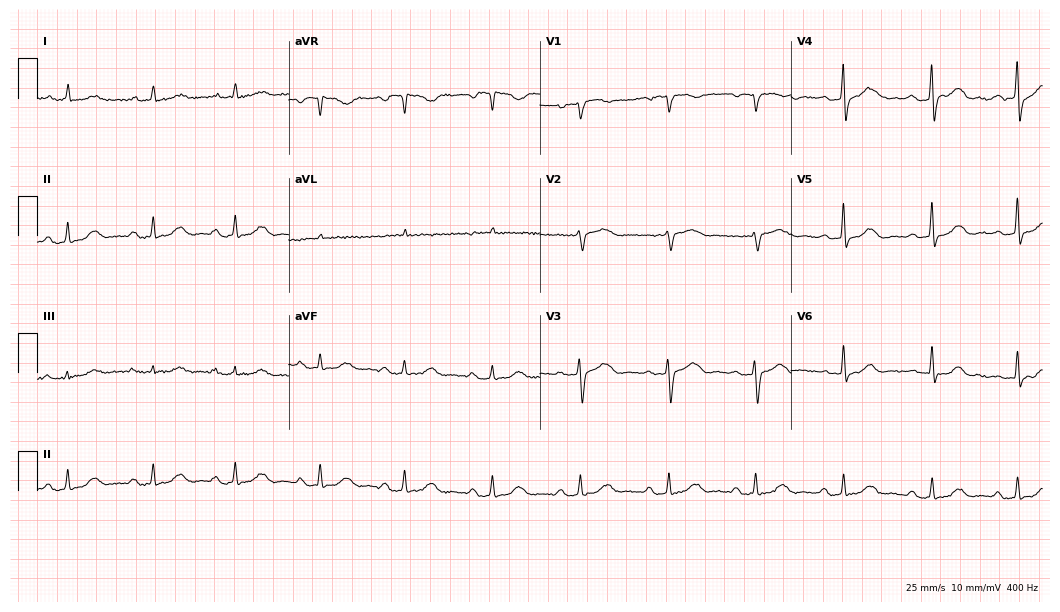
12-lead ECG from a female, 85 years old (10.2-second recording at 400 Hz). No first-degree AV block, right bundle branch block, left bundle branch block, sinus bradycardia, atrial fibrillation or sinus tachycardia recorded for this tracing. Findings outside these six are not listed.